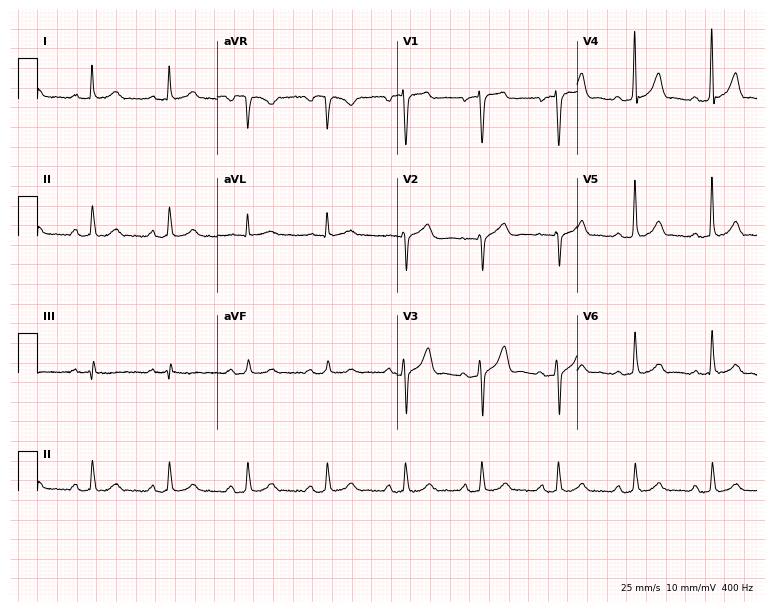
Electrocardiogram, a male, 73 years old. Of the six screened findings (first-degree AV block, right bundle branch block (RBBB), left bundle branch block (LBBB), sinus bradycardia, atrial fibrillation (AF), sinus tachycardia), none is recorded.